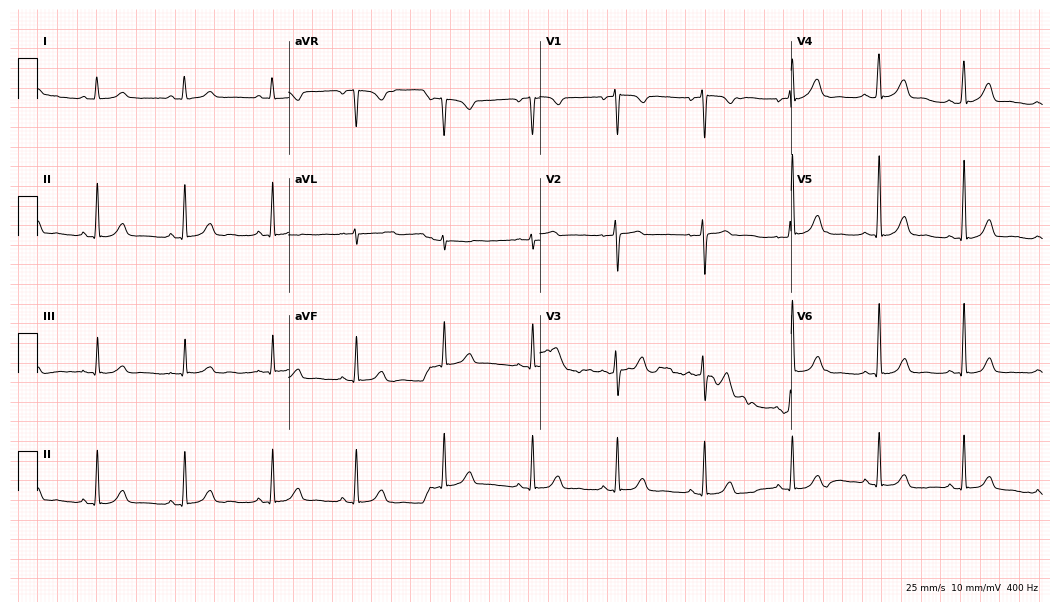
Resting 12-lead electrocardiogram. Patient: a 44-year-old woman. Read as a normal ECG.